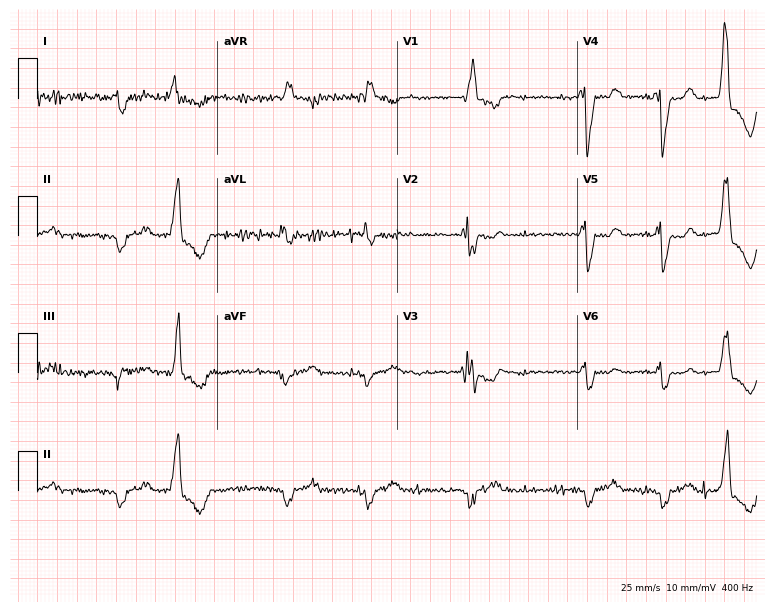
Standard 12-lead ECG recorded from a man, 69 years old. None of these six findings is recorded: first-degree AV block, right bundle branch block (RBBB), left bundle branch block (LBBB), sinus bradycardia, atrial fibrillation (AF), sinus tachycardia.